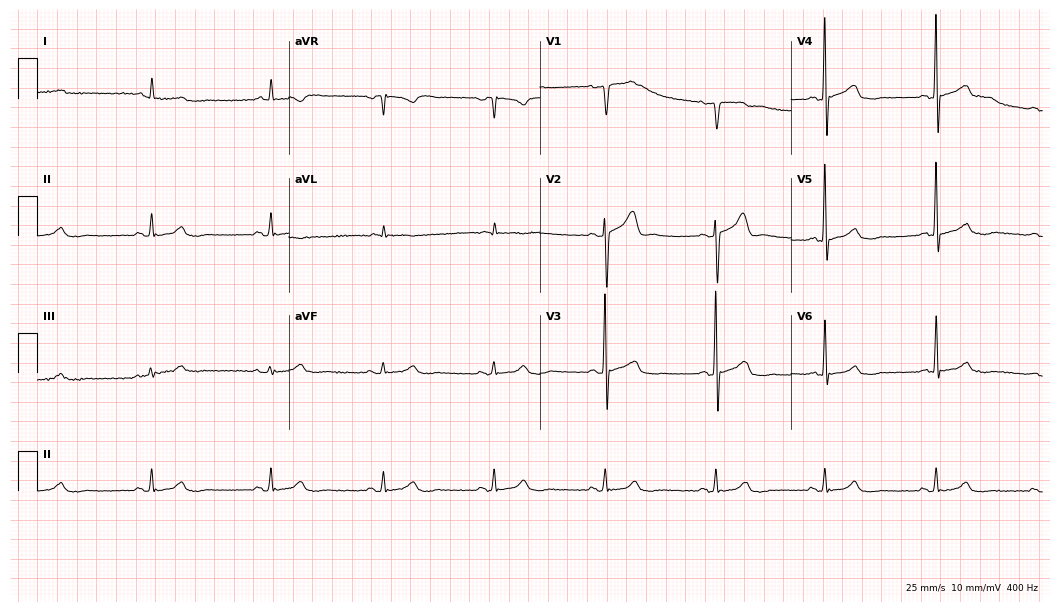
Standard 12-lead ECG recorded from a 67-year-old male. None of these six findings is recorded: first-degree AV block, right bundle branch block, left bundle branch block, sinus bradycardia, atrial fibrillation, sinus tachycardia.